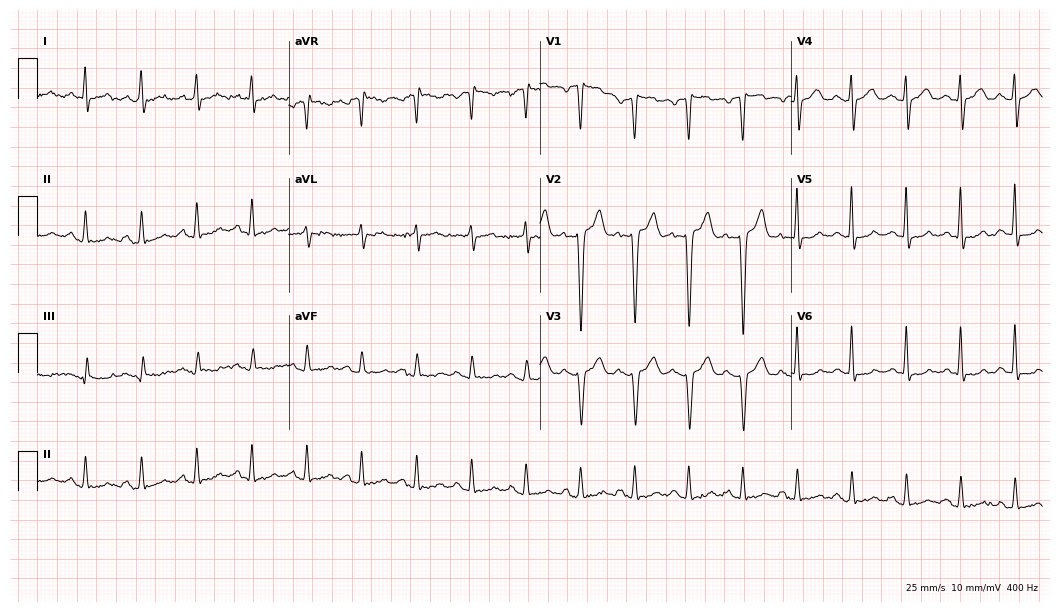
Electrocardiogram (10.2-second recording at 400 Hz), a male, 49 years old. Interpretation includes sinus tachycardia (a sinus rate of 100 beats per minute or more).